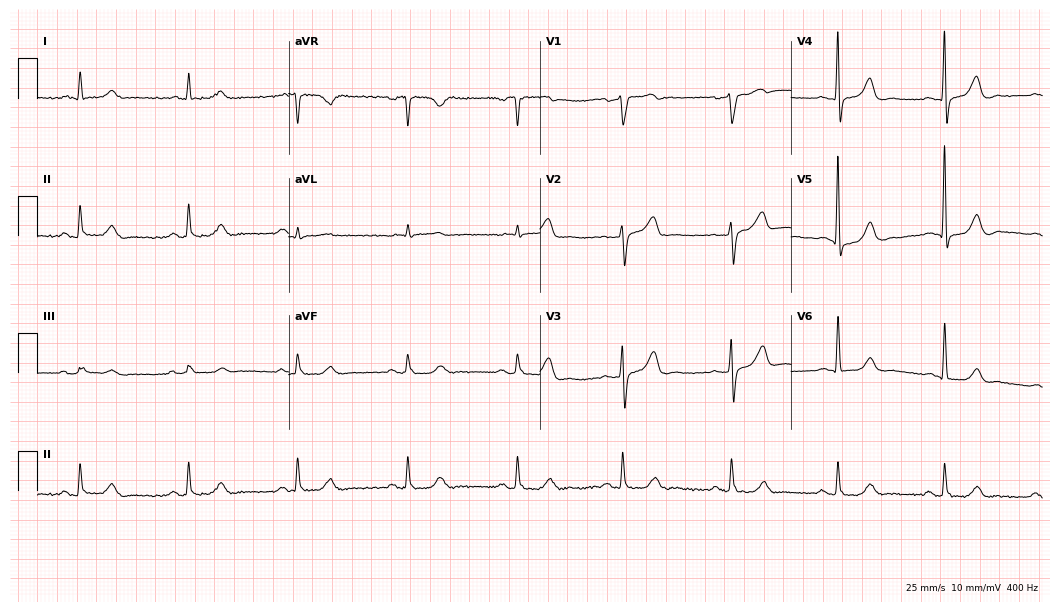
ECG (10.2-second recording at 400 Hz) — a male, 80 years old. Screened for six findings — first-degree AV block, right bundle branch block (RBBB), left bundle branch block (LBBB), sinus bradycardia, atrial fibrillation (AF), sinus tachycardia — none is recorded. Findings outside these six are not listed.